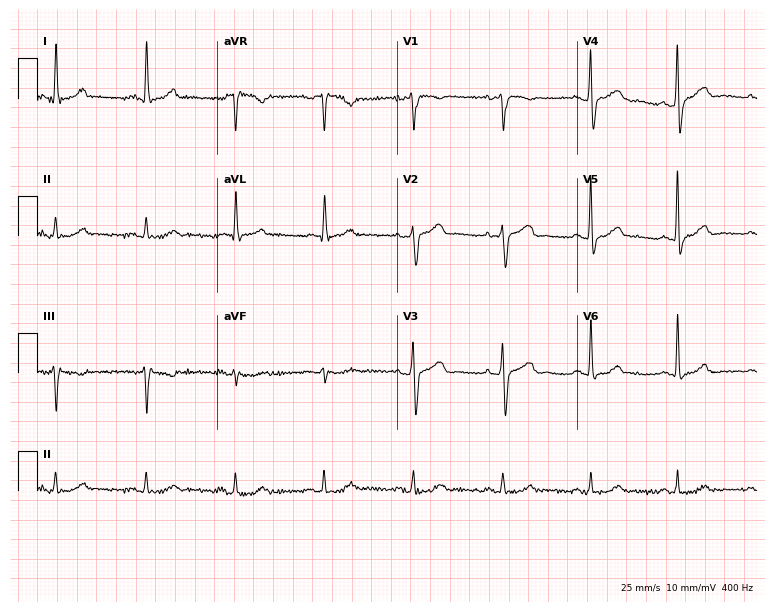
Standard 12-lead ECG recorded from a 65-year-old male patient (7.3-second recording at 400 Hz). None of these six findings is recorded: first-degree AV block, right bundle branch block (RBBB), left bundle branch block (LBBB), sinus bradycardia, atrial fibrillation (AF), sinus tachycardia. Other findings, if any, are not listed.